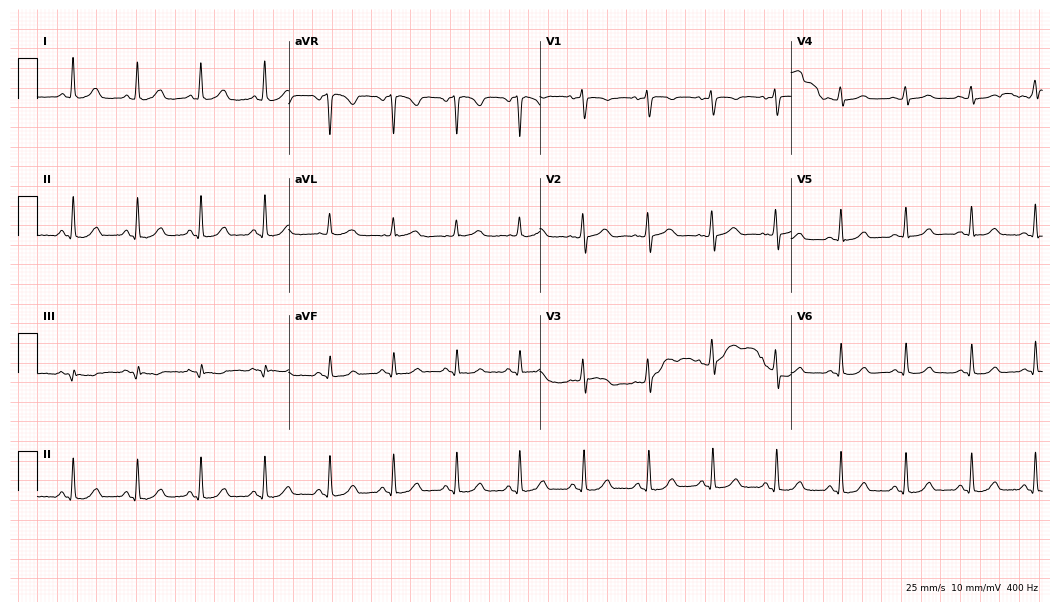
12-lead ECG from a 43-year-old woman. Recorded interpretation: within normal limits.